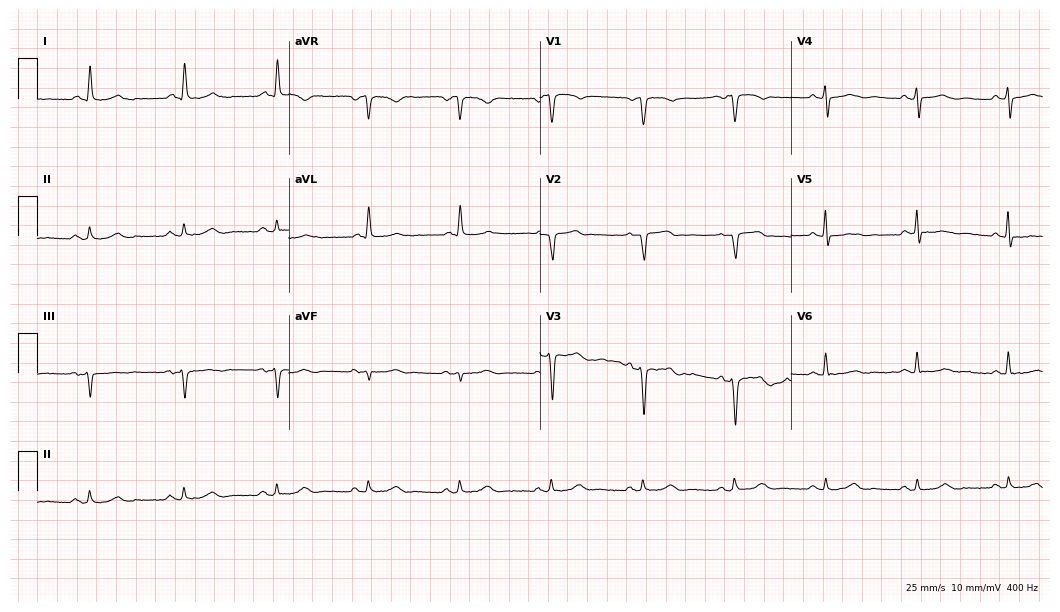
ECG — an 83-year-old male. Labelled as a normal ECG.